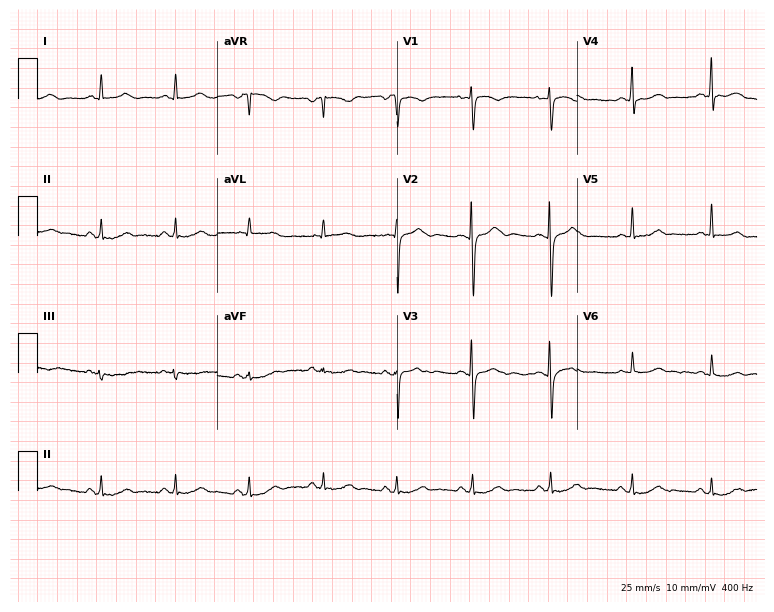
12-lead ECG (7.3-second recording at 400 Hz) from a 31-year-old female. Screened for six findings — first-degree AV block, right bundle branch block, left bundle branch block, sinus bradycardia, atrial fibrillation, sinus tachycardia — none is recorded.